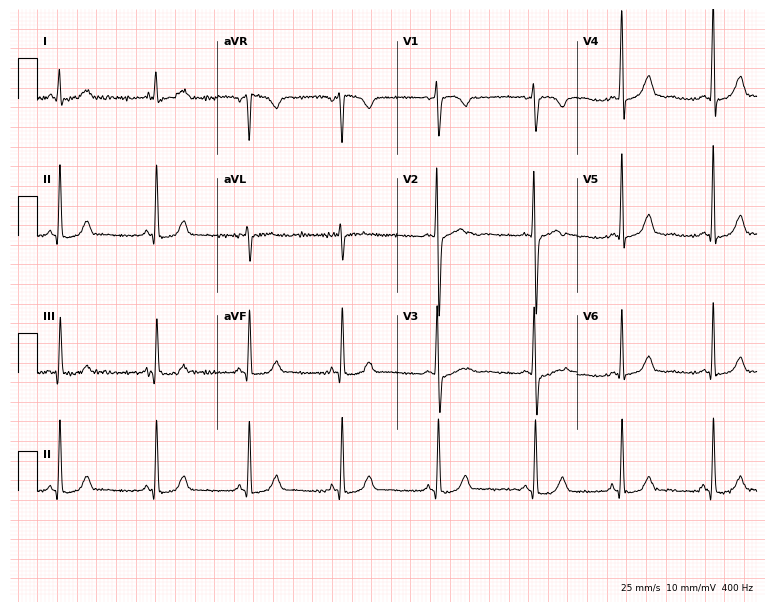
ECG — a 39-year-old woman. Screened for six findings — first-degree AV block, right bundle branch block (RBBB), left bundle branch block (LBBB), sinus bradycardia, atrial fibrillation (AF), sinus tachycardia — none is recorded. Other findings, if any, are not listed.